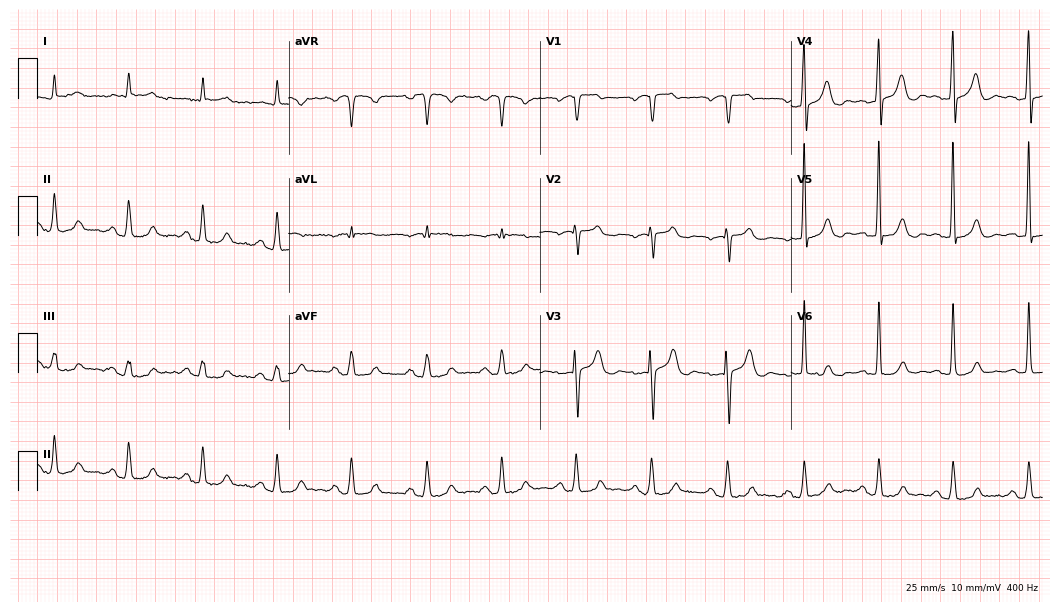
12-lead ECG from a male, 82 years old (10.2-second recording at 400 Hz). Recorded interpretation: within normal limits.